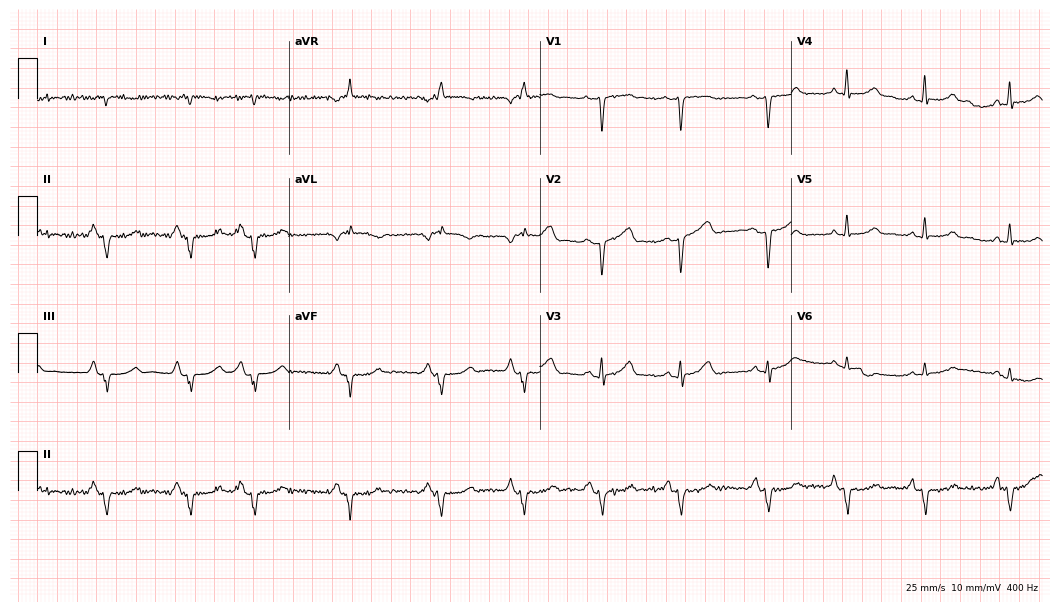
ECG (10.2-second recording at 400 Hz) — a male, 76 years old. Screened for six findings — first-degree AV block, right bundle branch block, left bundle branch block, sinus bradycardia, atrial fibrillation, sinus tachycardia — none is recorded. Other findings, if any, are not listed.